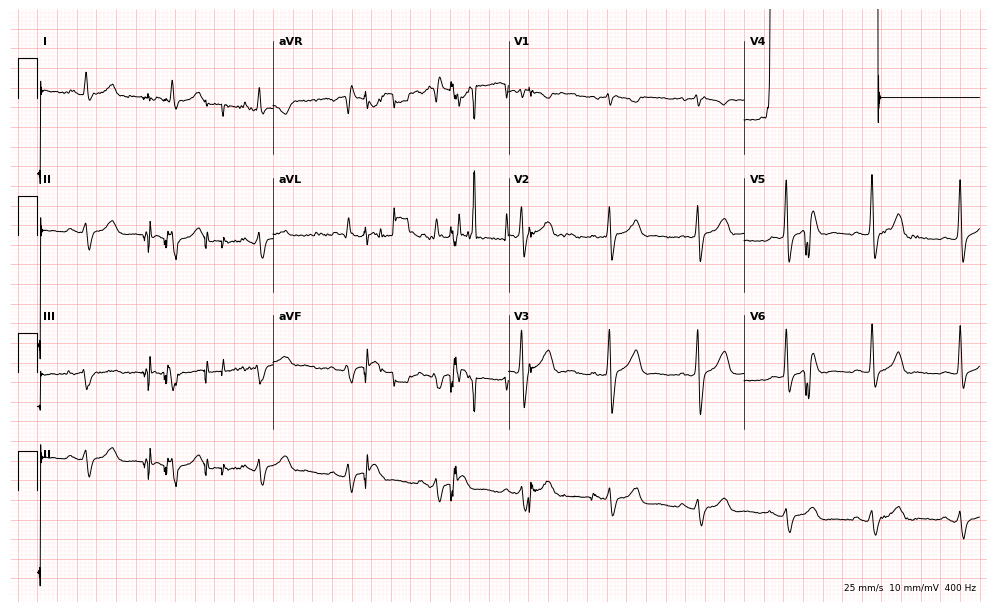
Electrocardiogram, a 56-year-old male. Of the six screened findings (first-degree AV block, right bundle branch block, left bundle branch block, sinus bradycardia, atrial fibrillation, sinus tachycardia), none is recorded.